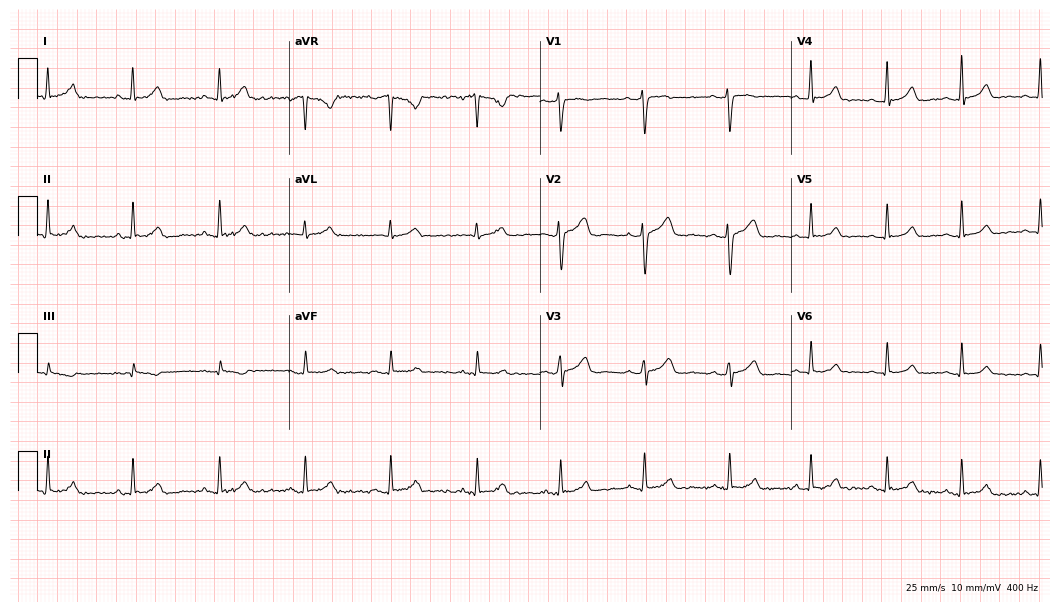
Electrocardiogram, a 36-year-old female. Overall reading on record: normal ECG.